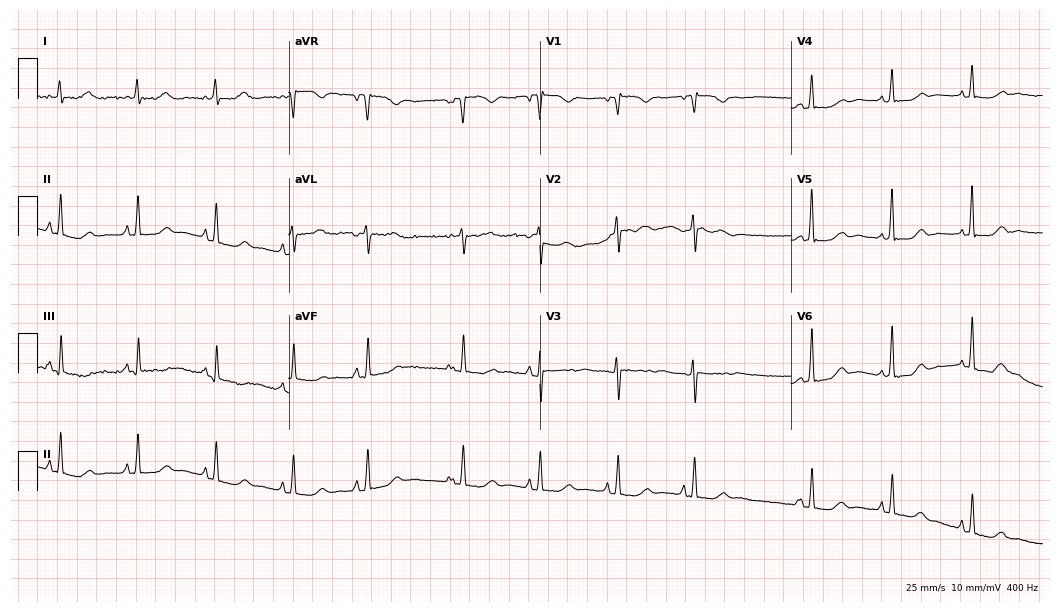
Electrocardiogram, a 79-year-old woman. Overall reading on record: normal ECG.